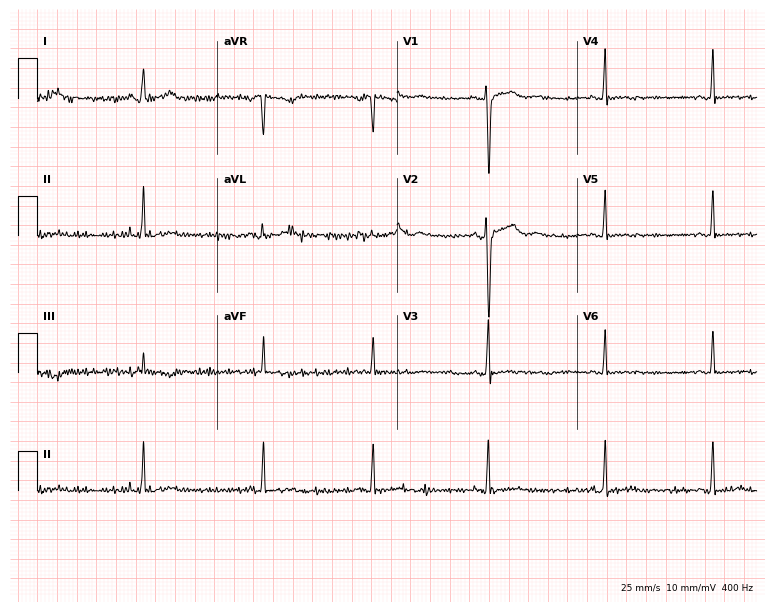
Electrocardiogram, a 27-year-old woman. Of the six screened findings (first-degree AV block, right bundle branch block, left bundle branch block, sinus bradycardia, atrial fibrillation, sinus tachycardia), none is recorded.